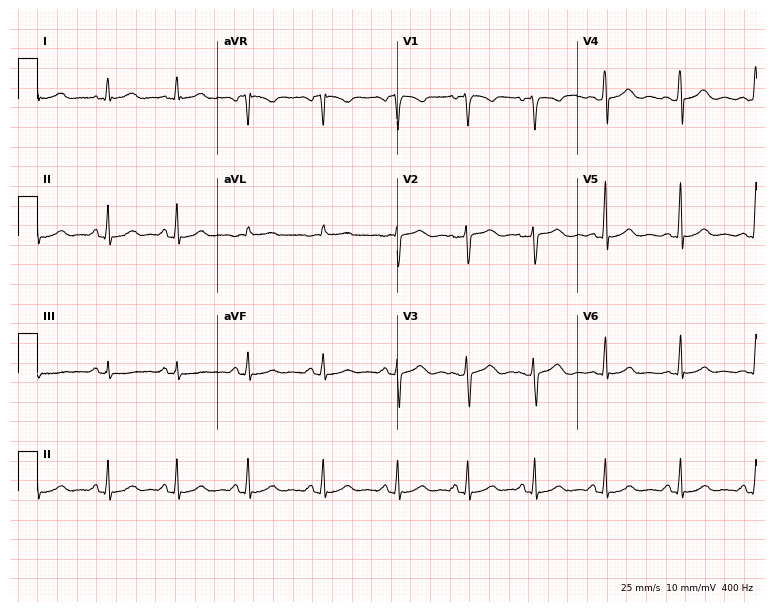
12-lead ECG (7.3-second recording at 400 Hz) from a 25-year-old female. Screened for six findings — first-degree AV block, right bundle branch block, left bundle branch block, sinus bradycardia, atrial fibrillation, sinus tachycardia — none is recorded. Other findings, if any, are not listed.